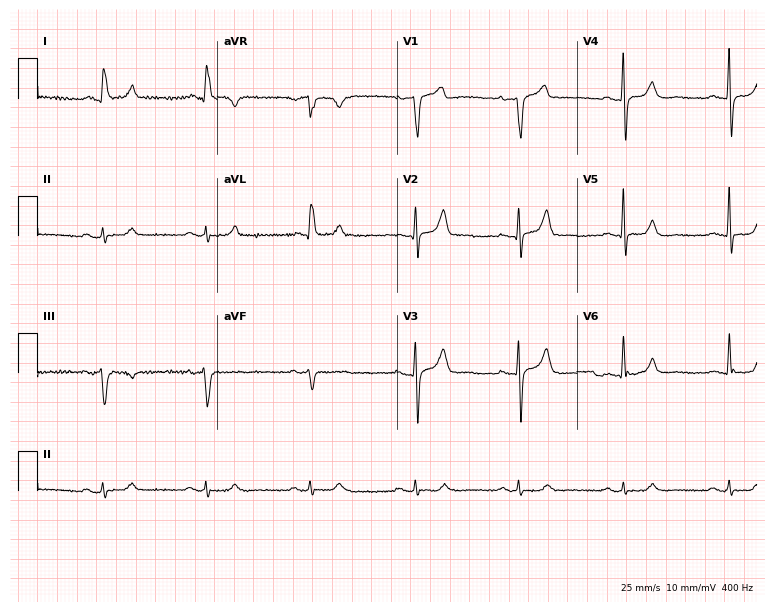
Electrocardiogram, a 70-year-old male. Overall reading on record: normal ECG.